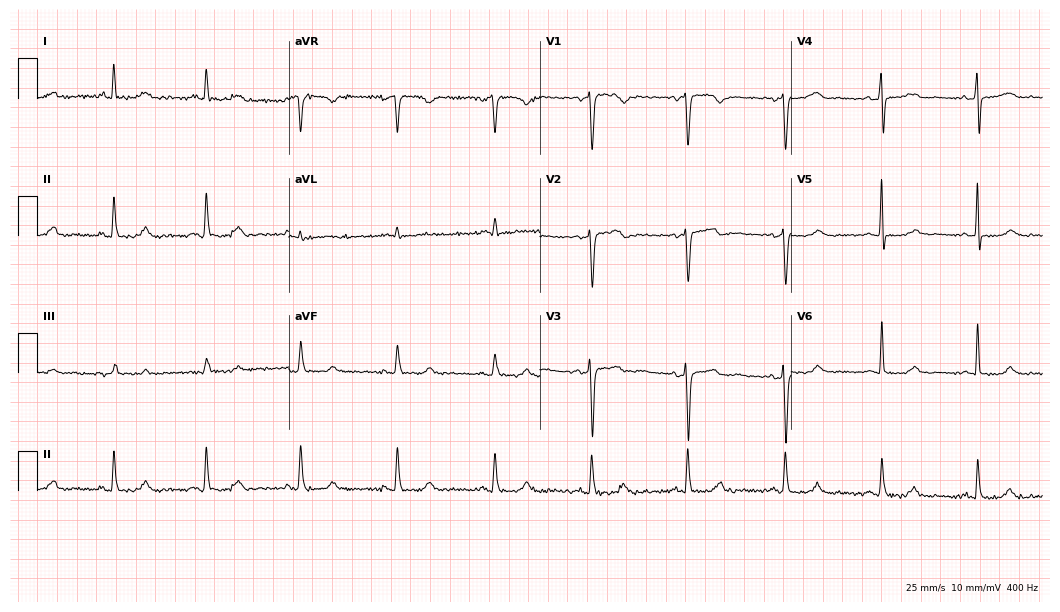
Electrocardiogram, a female, 56 years old. Of the six screened findings (first-degree AV block, right bundle branch block, left bundle branch block, sinus bradycardia, atrial fibrillation, sinus tachycardia), none is recorded.